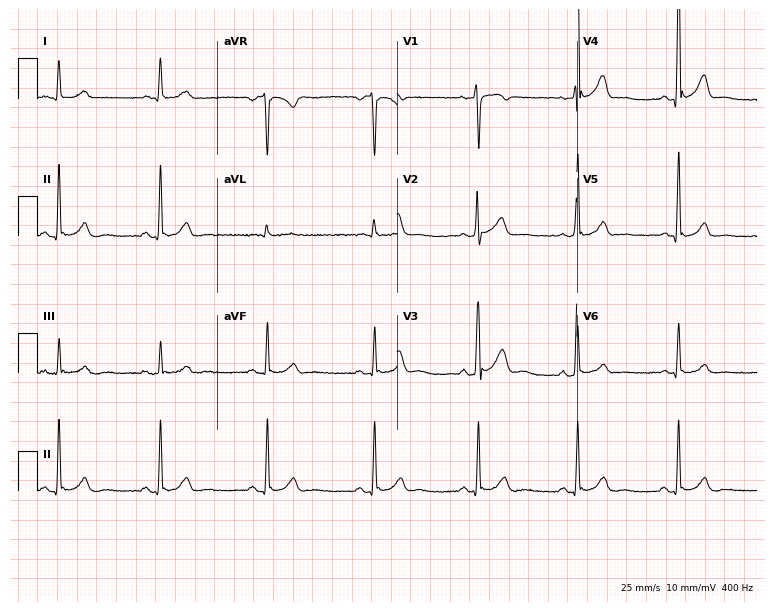
12-lead ECG from a man, 54 years old. Recorded interpretation: within normal limits.